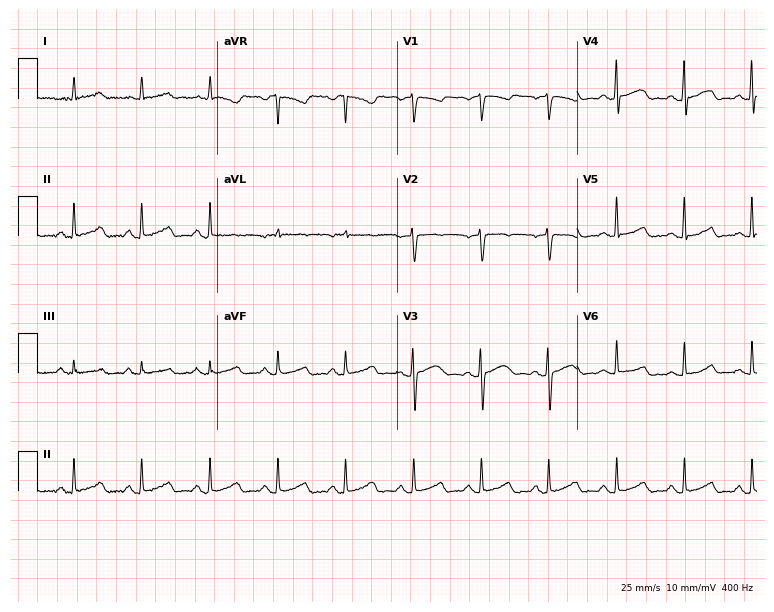
ECG — a female, 62 years old. Labelled as a normal ECG.